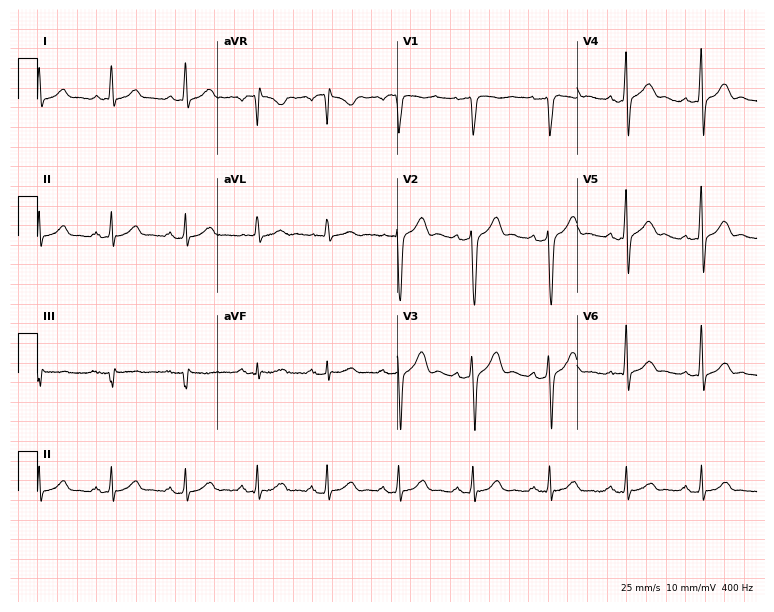
12-lead ECG from a male patient, 47 years old. Labelled as a normal ECG.